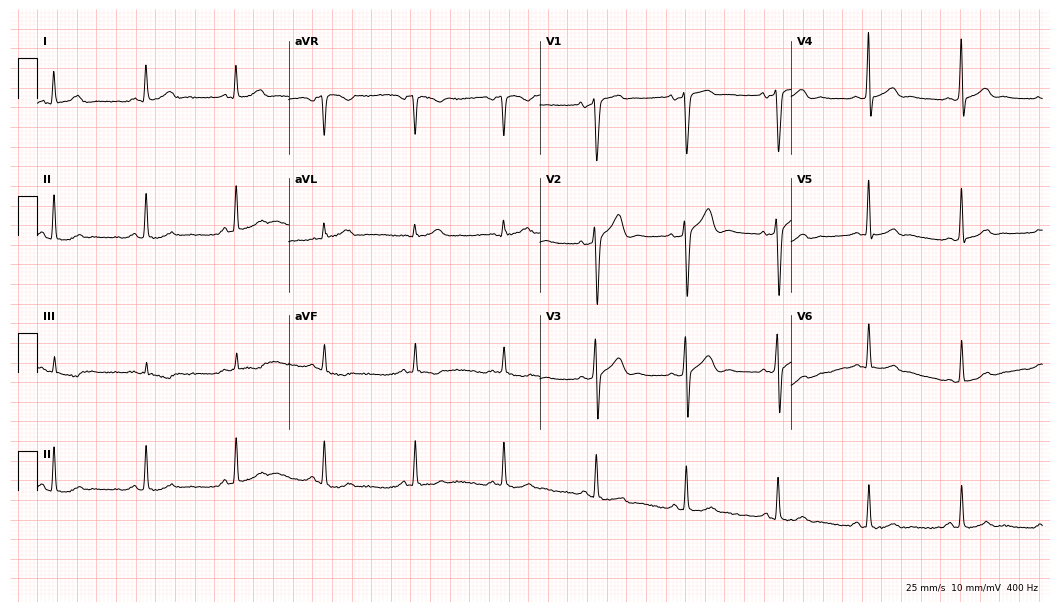
Resting 12-lead electrocardiogram. Patient: a 34-year-old male. Read as a normal ECG.